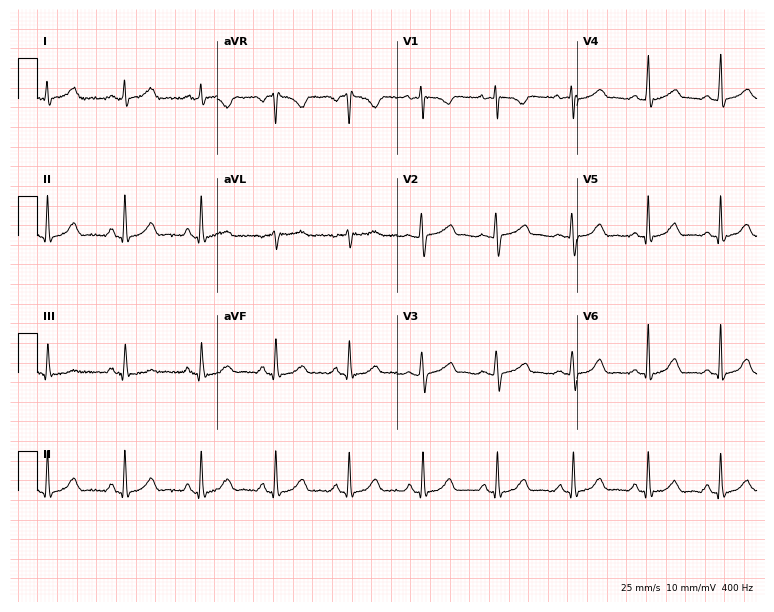
12-lead ECG (7.3-second recording at 400 Hz) from a 31-year-old female patient. Screened for six findings — first-degree AV block, right bundle branch block (RBBB), left bundle branch block (LBBB), sinus bradycardia, atrial fibrillation (AF), sinus tachycardia — none is recorded.